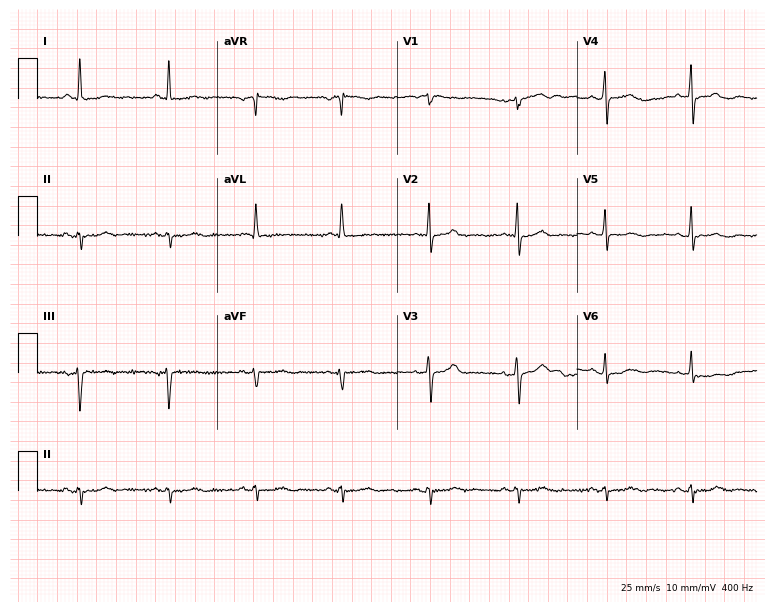
12-lead ECG from a 70-year-old female. No first-degree AV block, right bundle branch block (RBBB), left bundle branch block (LBBB), sinus bradycardia, atrial fibrillation (AF) or sinus tachycardia recorded for this tracing.